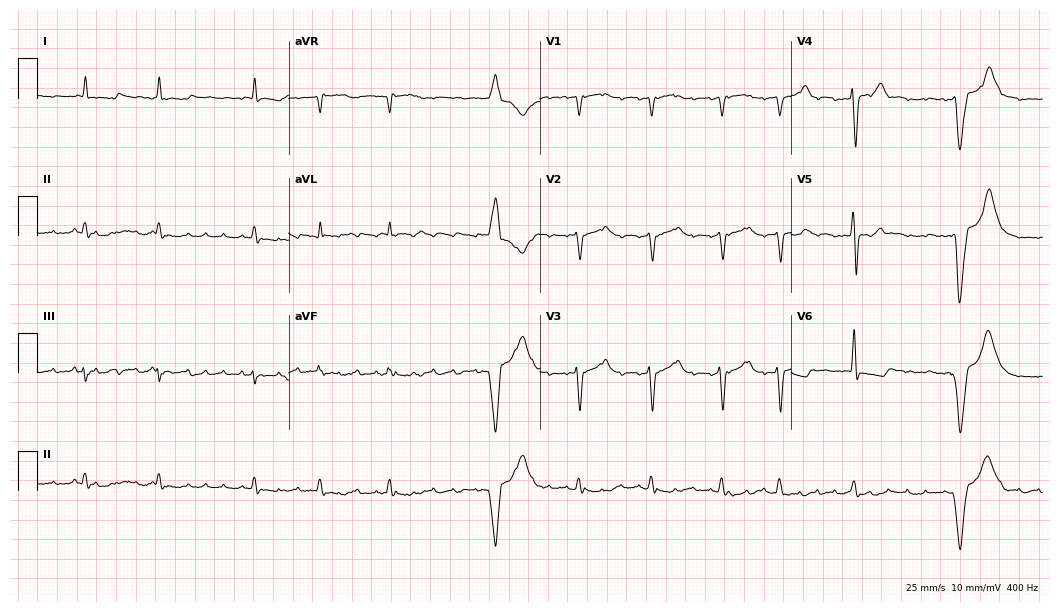
Standard 12-lead ECG recorded from a male, 62 years old (10.2-second recording at 400 Hz). The tracing shows atrial fibrillation.